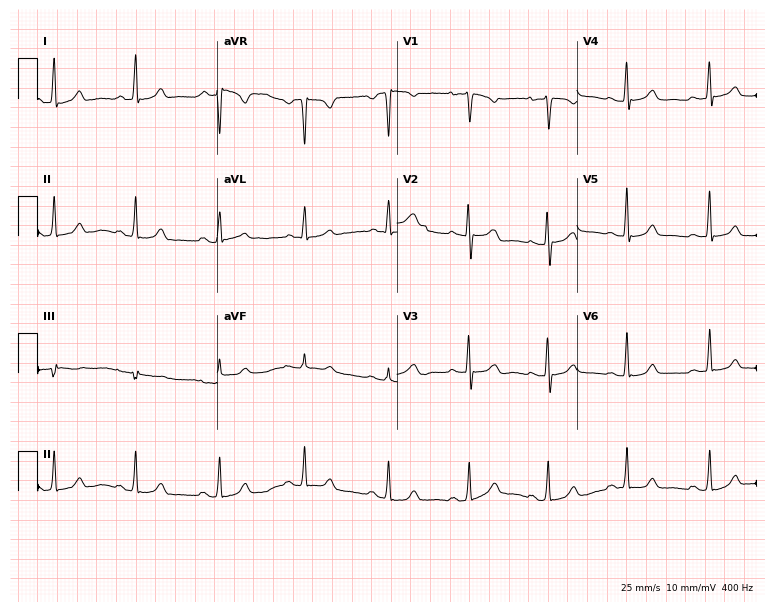
ECG (7.3-second recording at 400 Hz) — a female patient, 32 years old. Screened for six findings — first-degree AV block, right bundle branch block (RBBB), left bundle branch block (LBBB), sinus bradycardia, atrial fibrillation (AF), sinus tachycardia — none is recorded. Only these six findings were labelled.